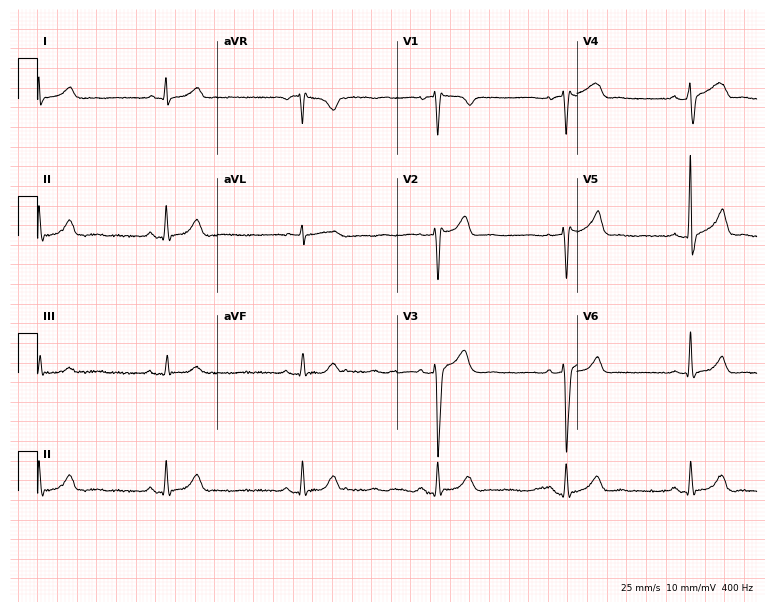
12-lead ECG from a man, 42 years old. Findings include sinus bradycardia (a sinus rate of 50 beats per minute or less).